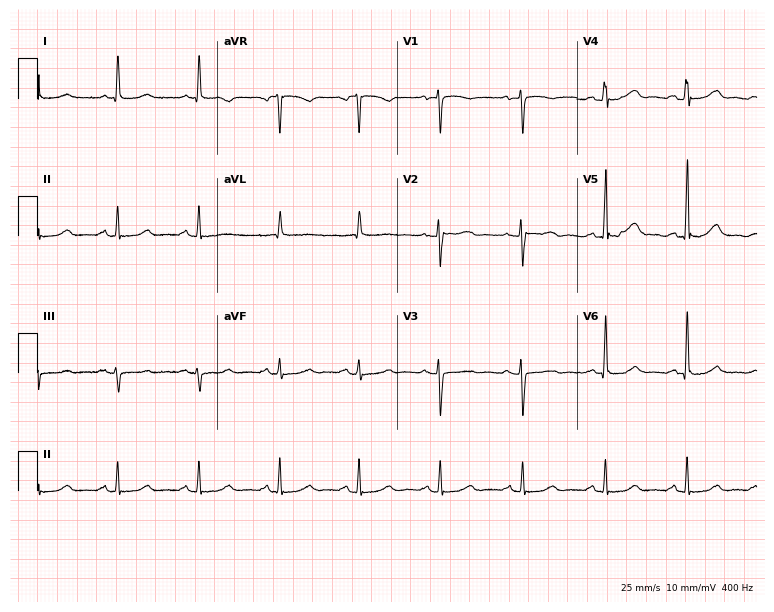
Resting 12-lead electrocardiogram (7.3-second recording at 400 Hz). Patient: a female, 64 years old. Read as a normal ECG.